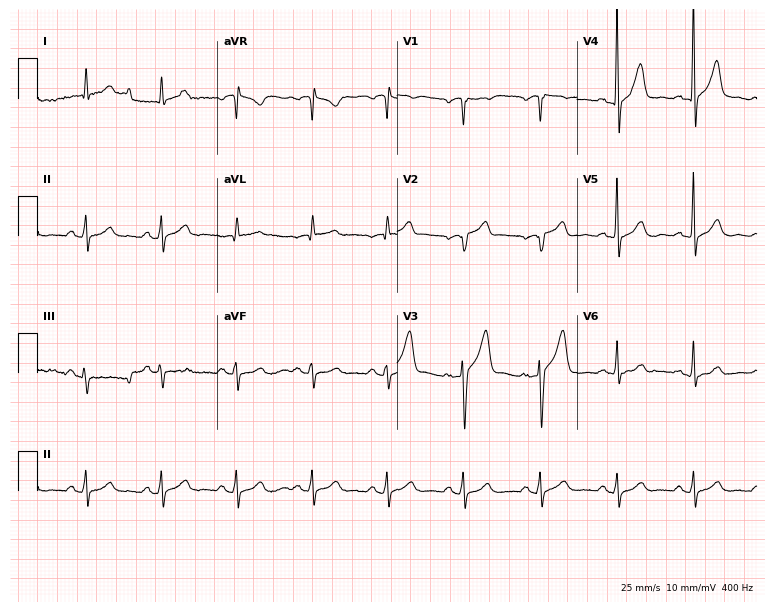
Standard 12-lead ECG recorded from a man, 55 years old (7.3-second recording at 400 Hz). Read as a normal ECG.